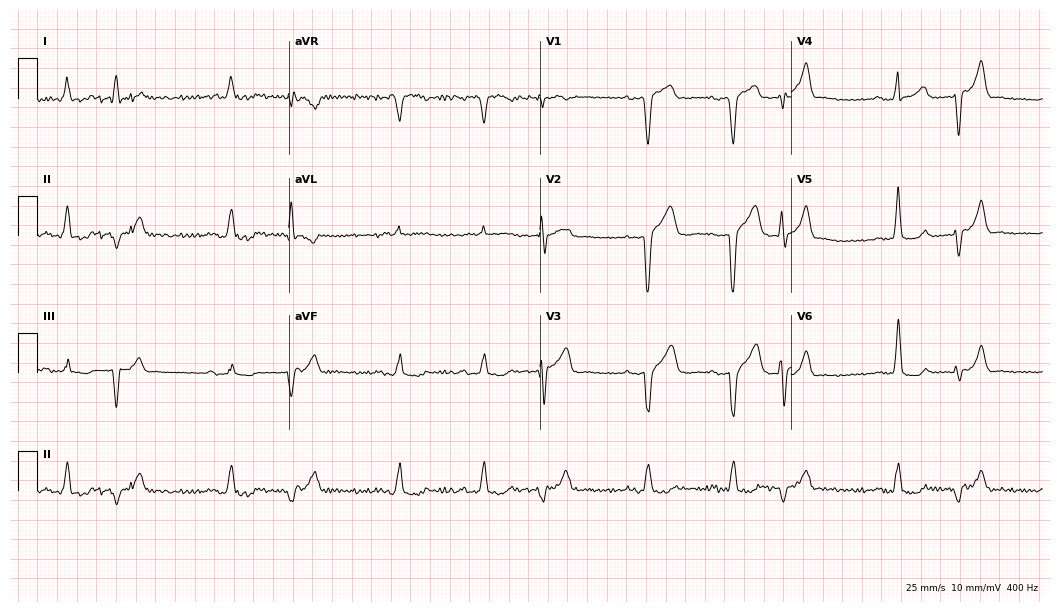
ECG (10.2-second recording at 400 Hz) — an 85-year-old male. Findings include first-degree AV block.